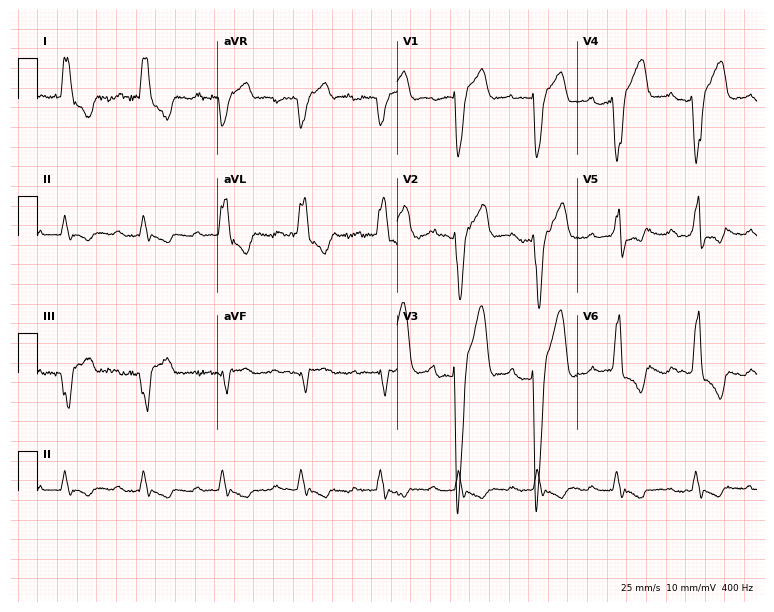
ECG (7.3-second recording at 400 Hz) — a 76-year-old male. Findings include first-degree AV block, left bundle branch block.